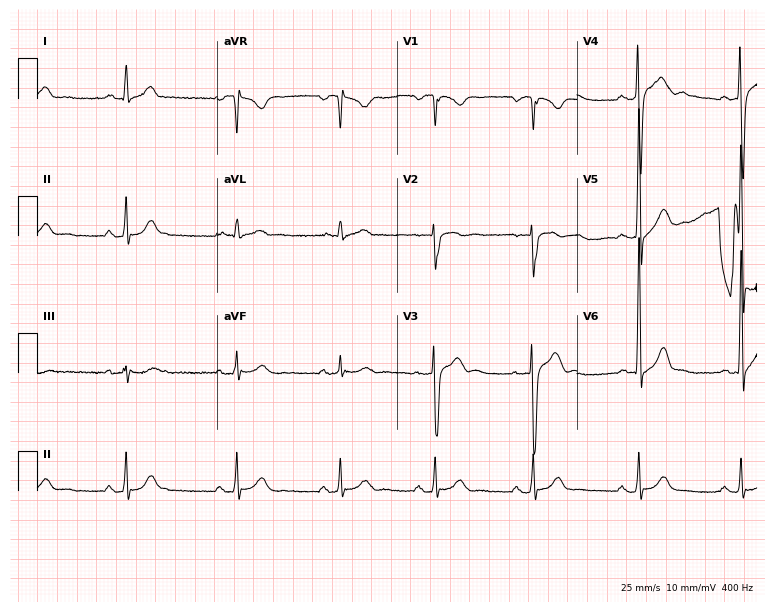
Standard 12-lead ECG recorded from a 31-year-old male. Read as a normal ECG.